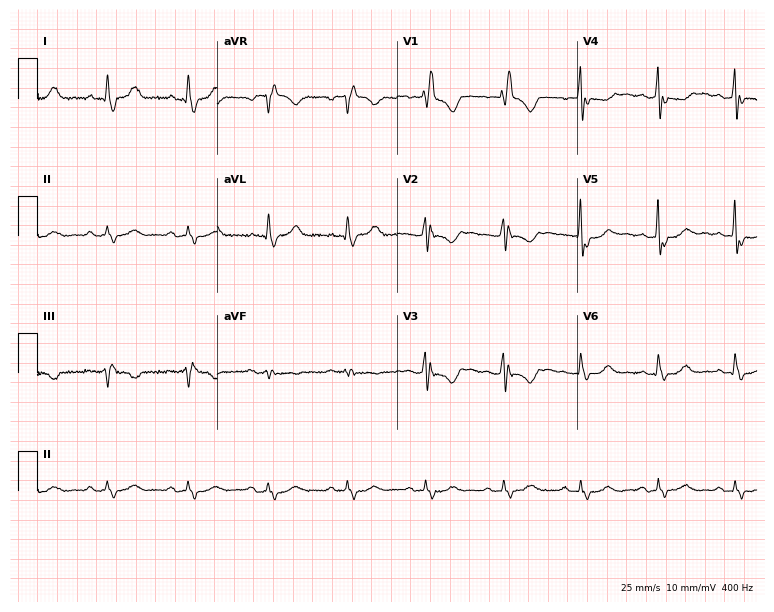
Resting 12-lead electrocardiogram. Patient: a woman, 75 years old. The tracing shows right bundle branch block.